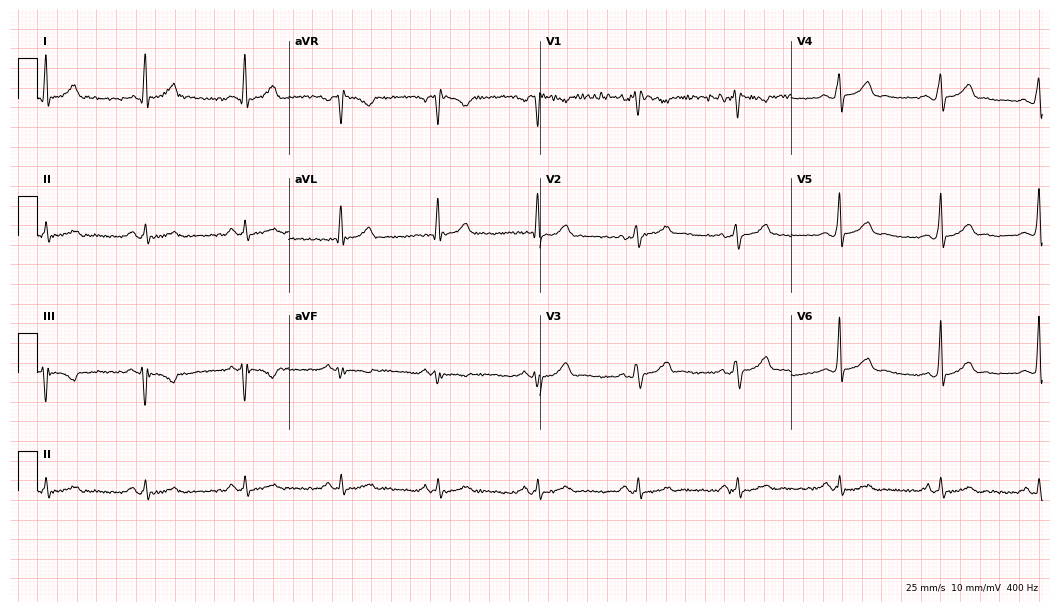
12-lead ECG from a man, 41 years old. Labelled as a normal ECG.